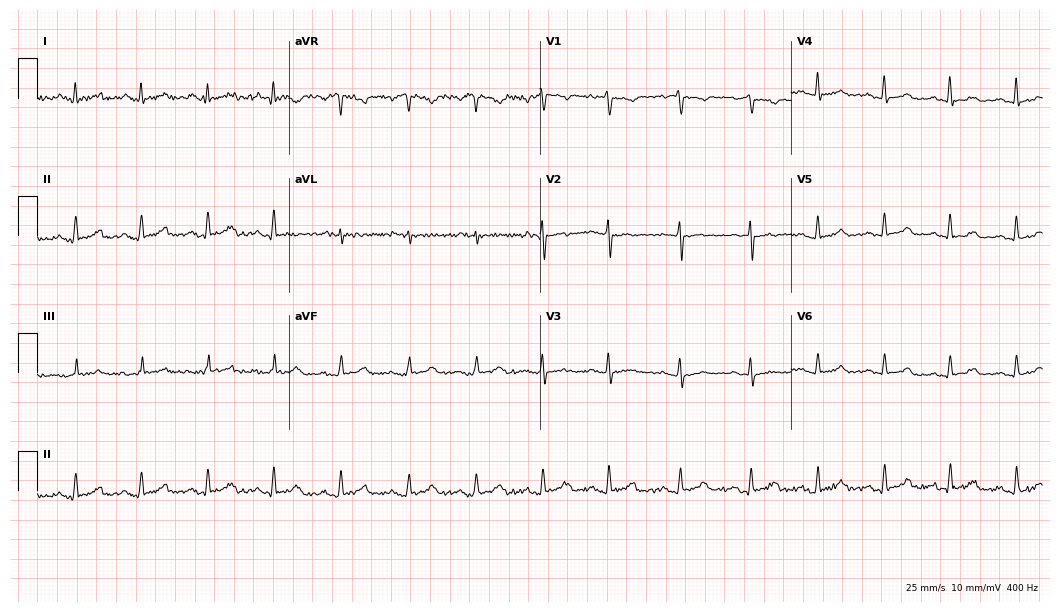
12-lead ECG from a 50-year-old woman. Recorded interpretation: within normal limits.